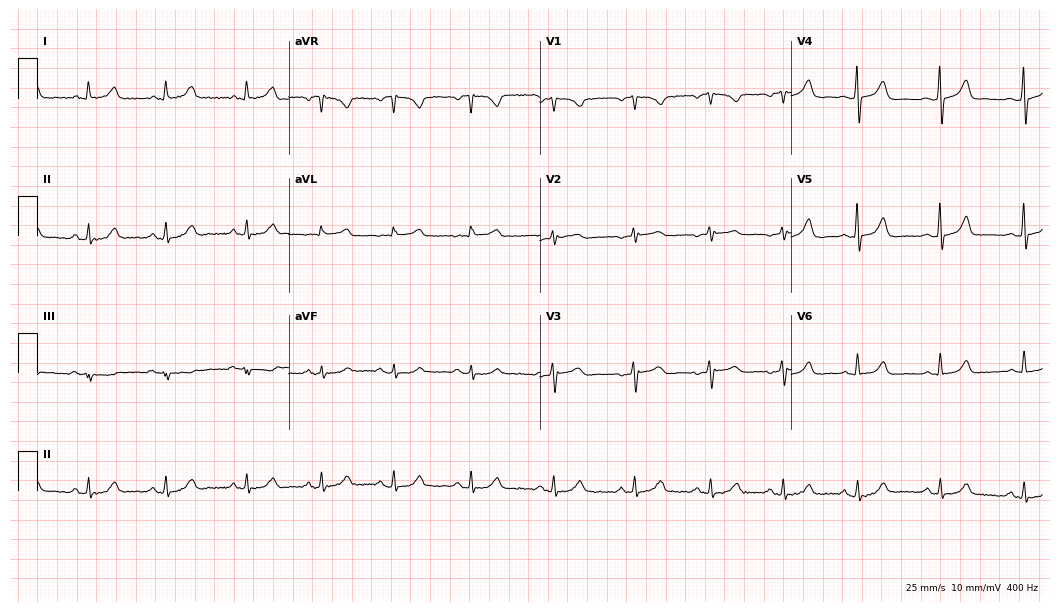
ECG — a 52-year-old woman. Labelled as a normal ECG.